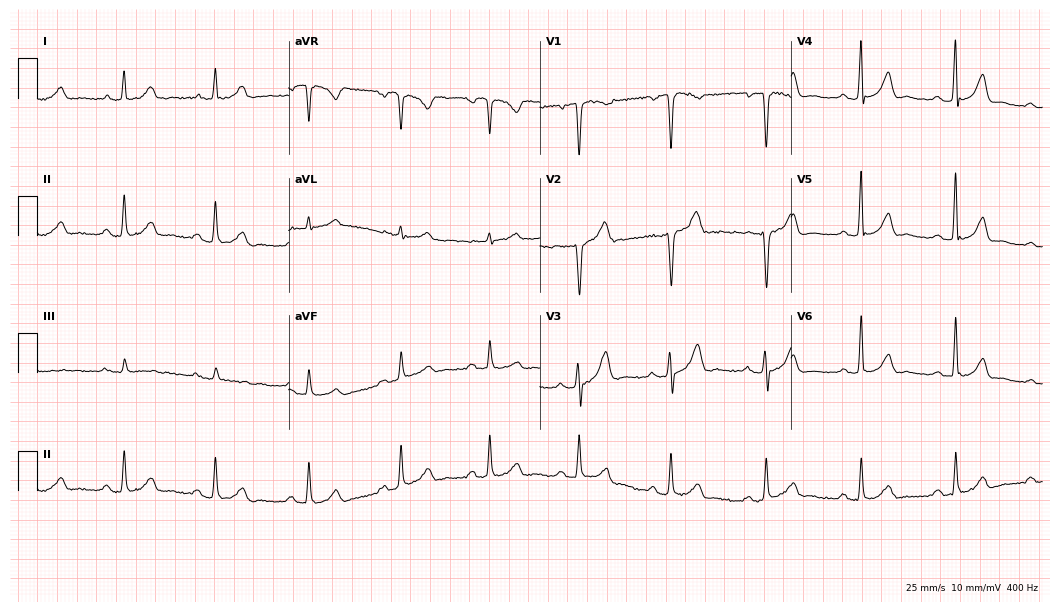
12-lead ECG (10.2-second recording at 400 Hz) from a male patient, 68 years old. Labelled as a normal ECG.